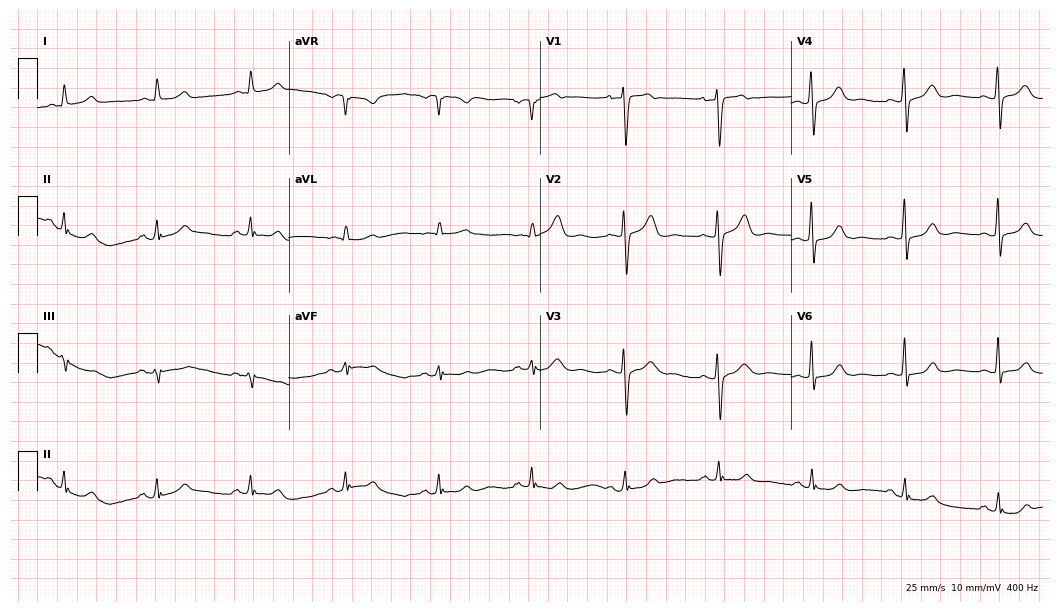
12-lead ECG from a 53-year-old woman. Labelled as a normal ECG.